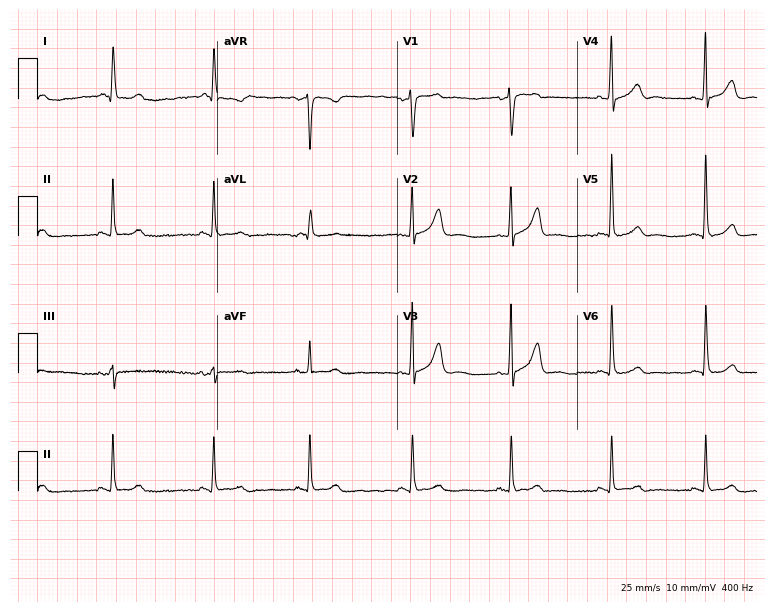
12-lead ECG from a 68-year-old man. Recorded interpretation: within normal limits.